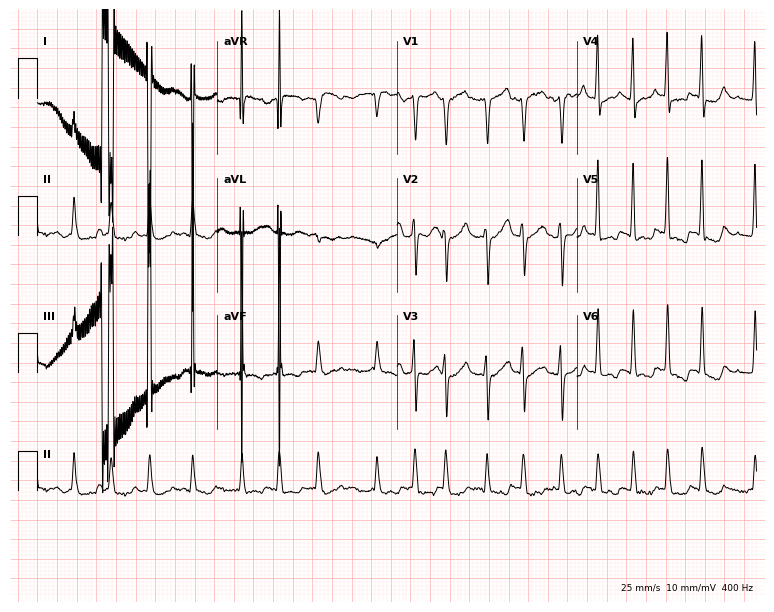
Standard 12-lead ECG recorded from a woman, 48 years old (7.3-second recording at 400 Hz). The tracing shows atrial fibrillation (AF).